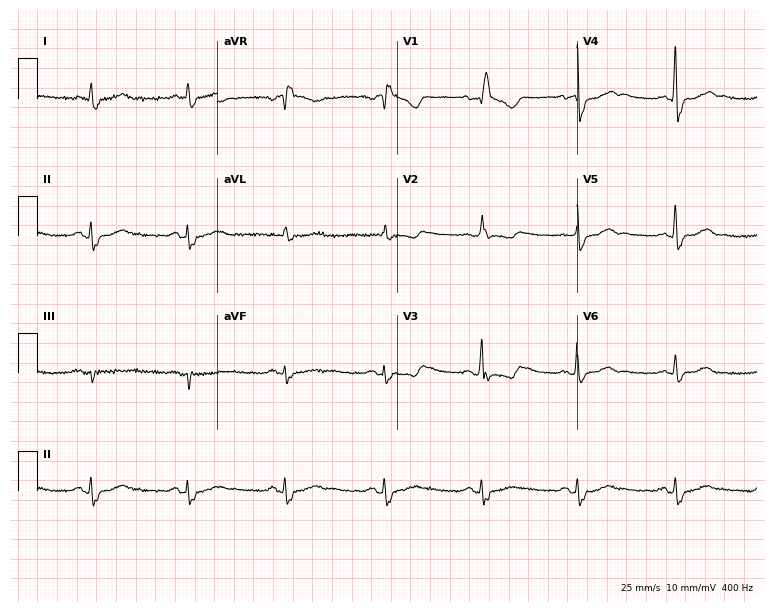
Standard 12-lead ECG recorded from a 75-year-old male (7.3-second recording at 400 Hz). None of these six findings is recorded: first-degree AV block, right bundle branch block, left bundle branch block, sinus bradycardia, atrial fibrillation, sinus tachycardia. Only these six findings were labelled.